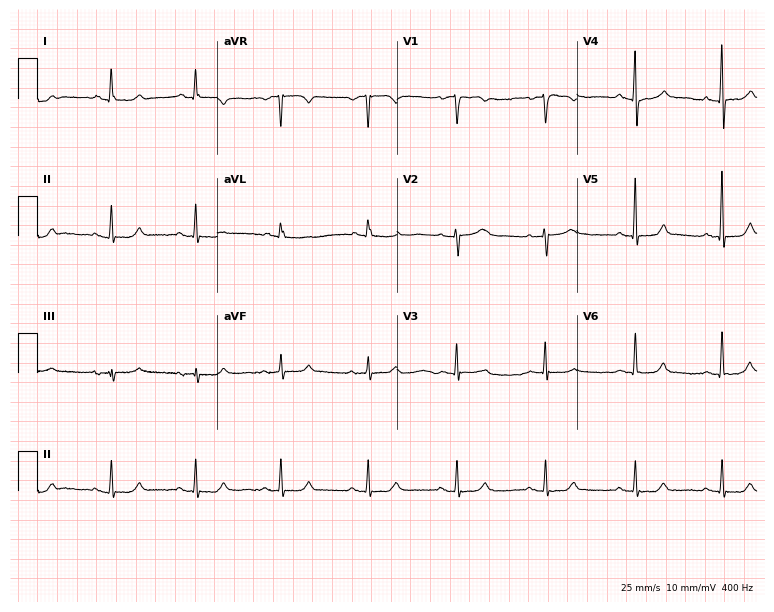
ECG — a female, 60 years old. Labelled as a normal ECG.